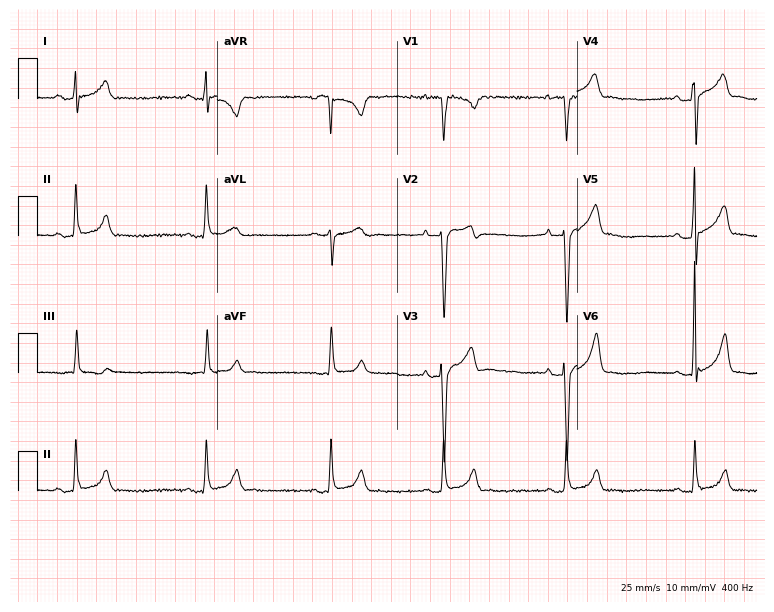
Standard 12-lead ECG recorded from a 26-year-old male patient. The tracing shows sinus bradycardia (a sinus rate of 50 beats per minute or less).